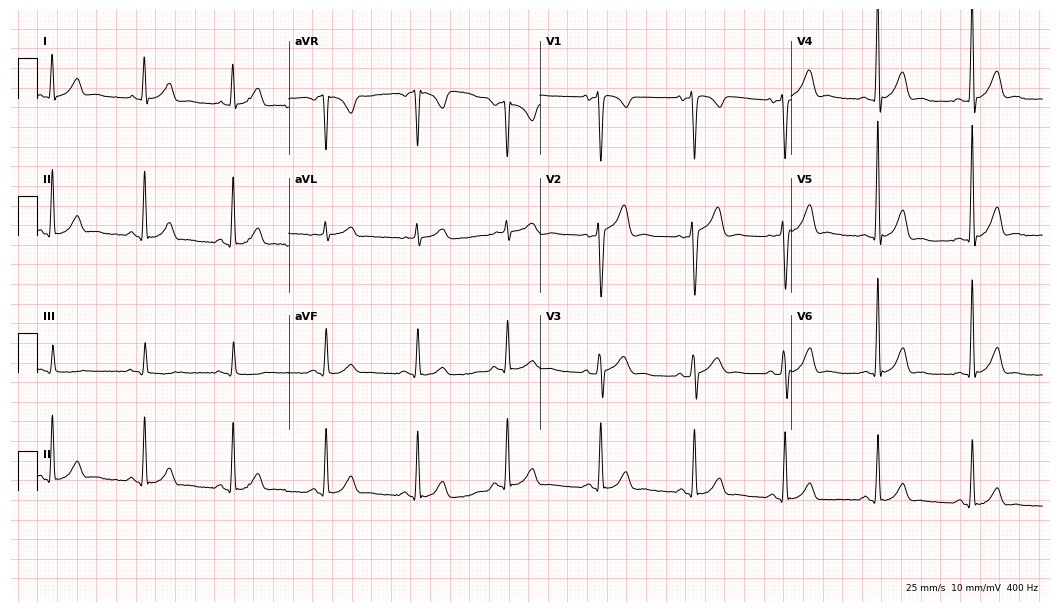
12-lead ECG from a 43-year-old male. No first-degree AV block, right bundle branch block, left bundle branch block, sinus bradycardia, atrial fibrillation or sinus tachycardia recorded for this tracing. Other findings, if any, are not listed.